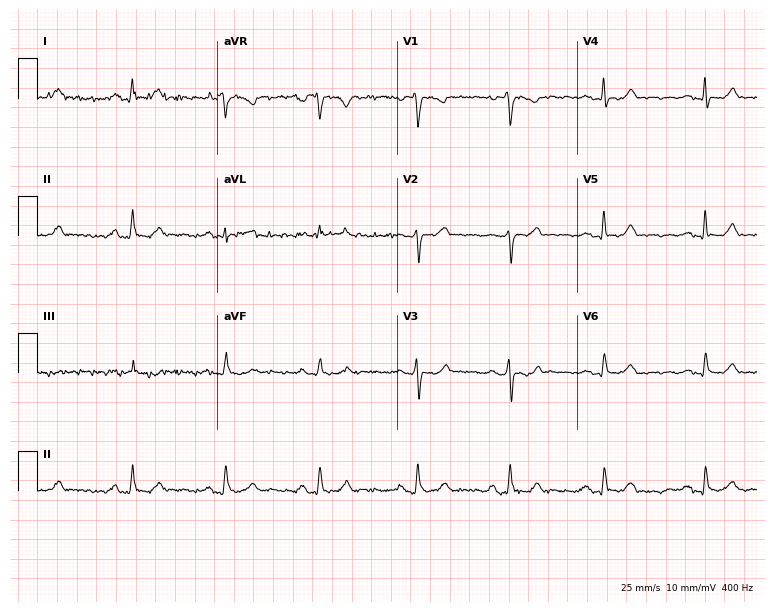
12-lead ECG (7.3-second recording at 400 Hz) from a female, 60 years old. Labelled as a normal ECG.